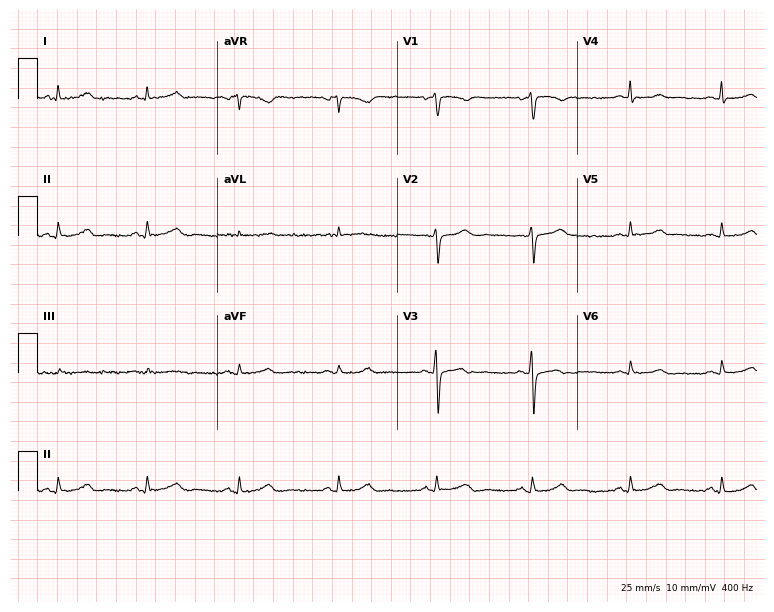
Electrocardiogram (7.3-second recording at 400 Hz), a female, 36 years old. Overall reading on record: normal ECG.